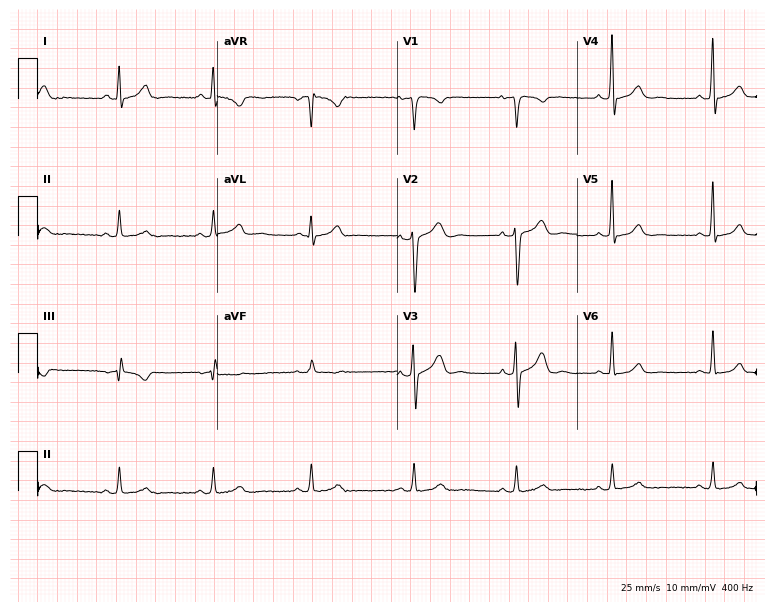
Standard 12-lead ECG recorded from a 34-year-old woman (7.3-second recording at 400 Hz). None of these six findings is recorded: first-degree AV block, right bundle branch block, left bundle branch block, sinus bradycardia, atrial fibrillation, sinus tachycardia. Only these six findings were labelled.